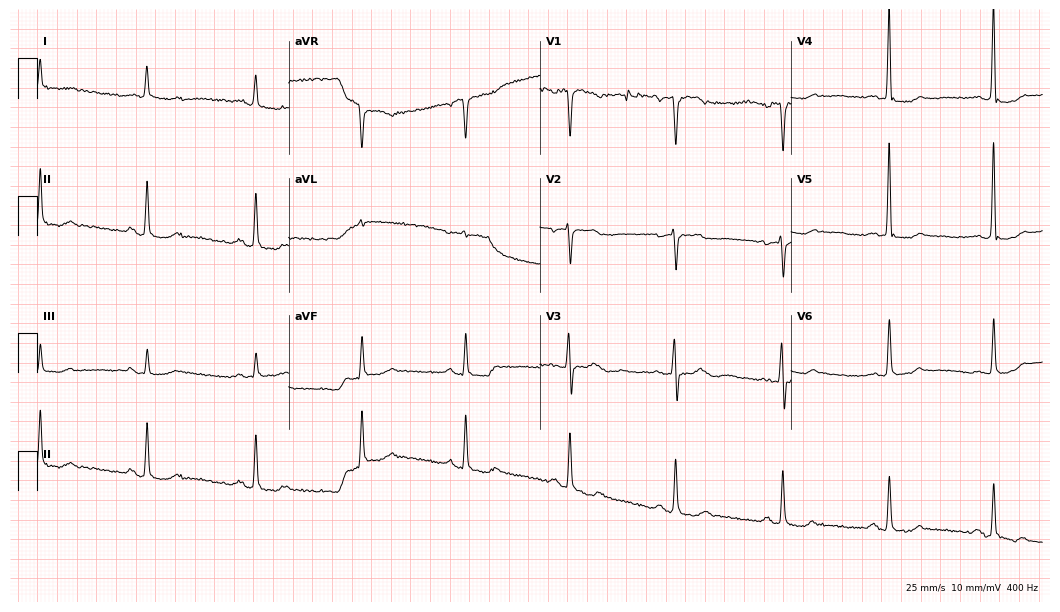
Resting 12-lead electrocardiogram. Patient: a male, 66 years old. None of these six findings is recorded: first-degree AV block, right bundle branch block, left bundle branch block, sinus bradycardia, atrial fibrillation, sinus tachycardia.